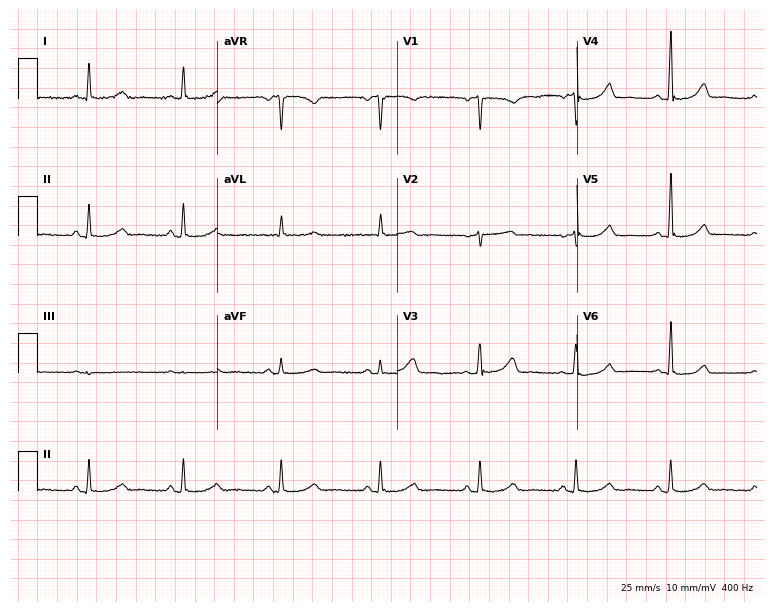
Electrocardiogram, a woman, 57 years old. Of the six screened findings (first-degree AV block, right bundle branch block, left bundle branch block, sinus bradycardia, atrial fibrillation, sinus tachycardia), none is recorded. Only these six findings were labelled.